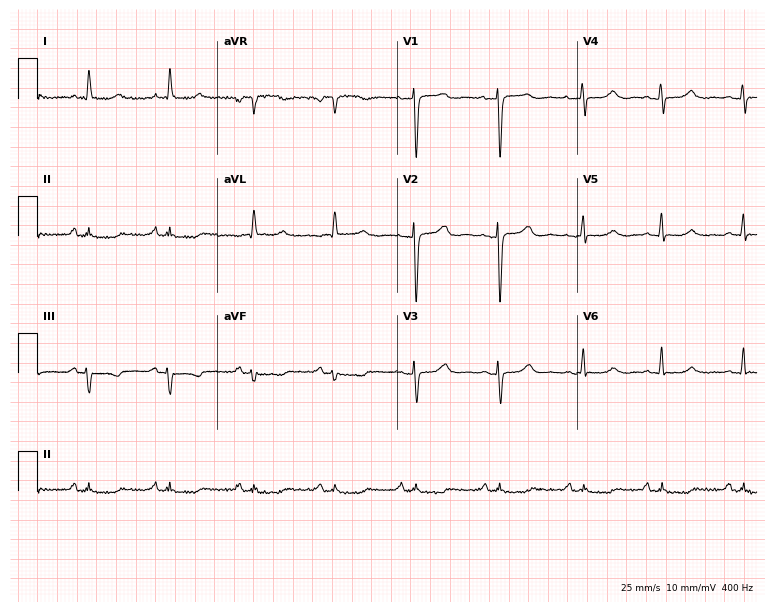
Standard 12-lead ECG recorded from a female patient, 68 years old. None of these six findings is recorded: first-degree AV block, right bundle branch block, left bundle branch block, sinus bradycardia, atrial fibrillation, sinus tachycardia. Other findings, if any, are not listed.